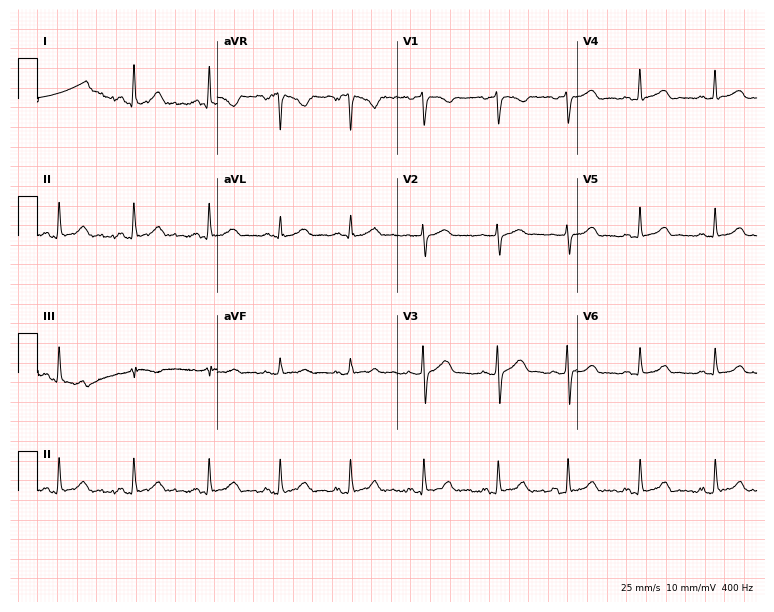
Electrocardiogram (7.3-second recording at 400 Hz), a woman, 43 years old. Overall reading on record: normal ECG.